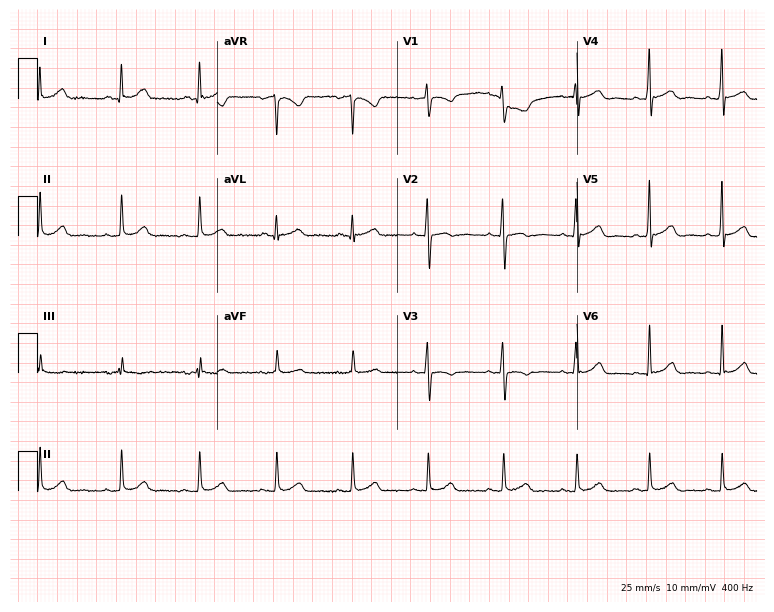
Standard 12-lead ECG recorded from a 38-year-old female. None of these six findings is recorded: first-degree AV block, right bundle branch block (RBBB), left bundle branch block (LBBB), sinus bradycardia, atrial fibrillation (AF), sinus tachycardia.